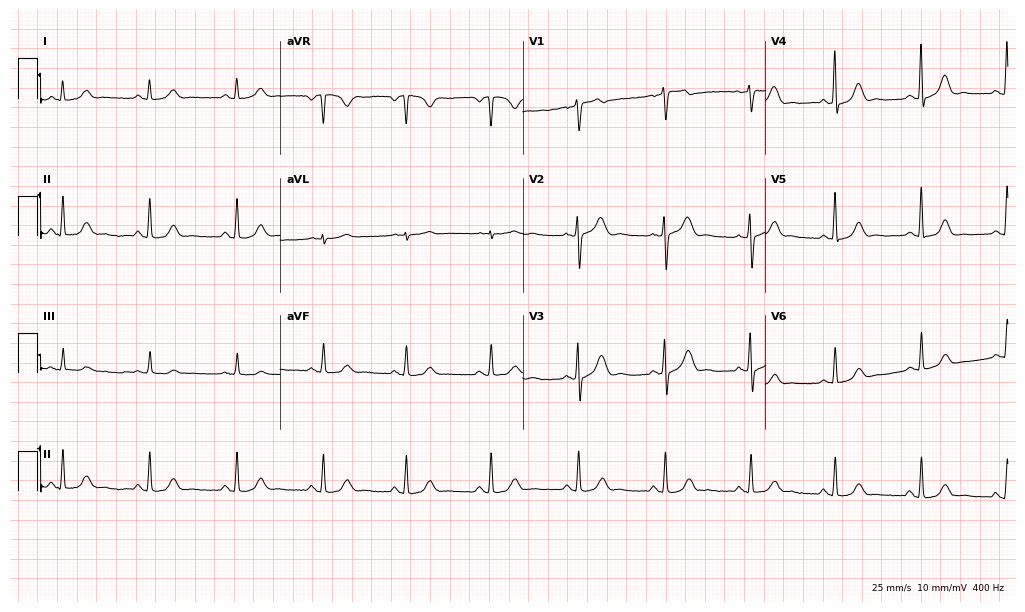
Electrocardiogram, a 65-year-old female patient. Of the six screened findings (first-degree AV block, right bundle branch block, left bundle branch block, sinus bradycardia, atrial fibrillation, sinus tachycardia), none is recorded. Only these six findings were labelled.